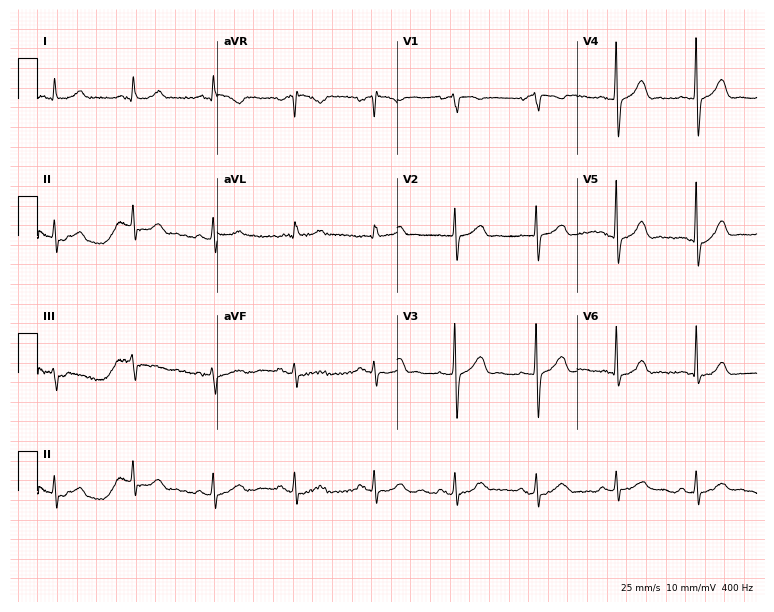
Electrocardiogram (7.3-second recording at 400 Hz), a 65-year-old male. Overall reading on record: normal ECG.